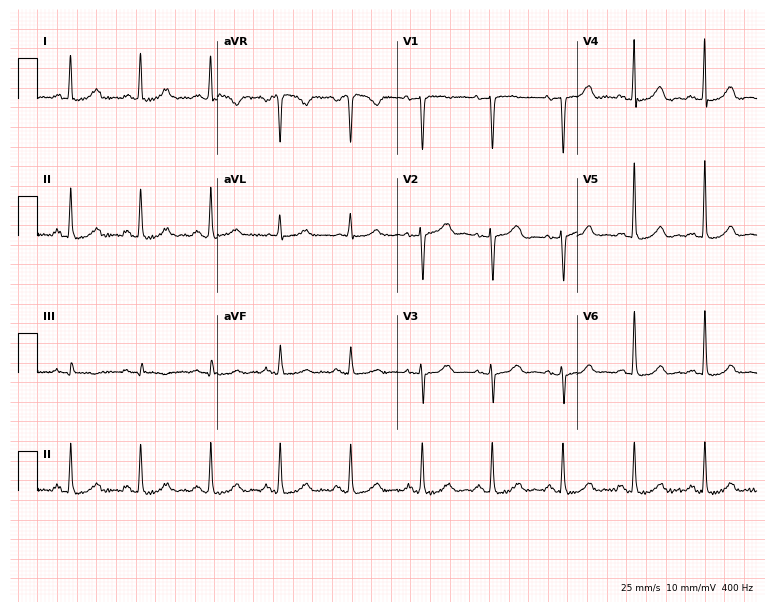
Electrocardiogram, a 71-year-old woman. Overall reading on record: normal ECG.